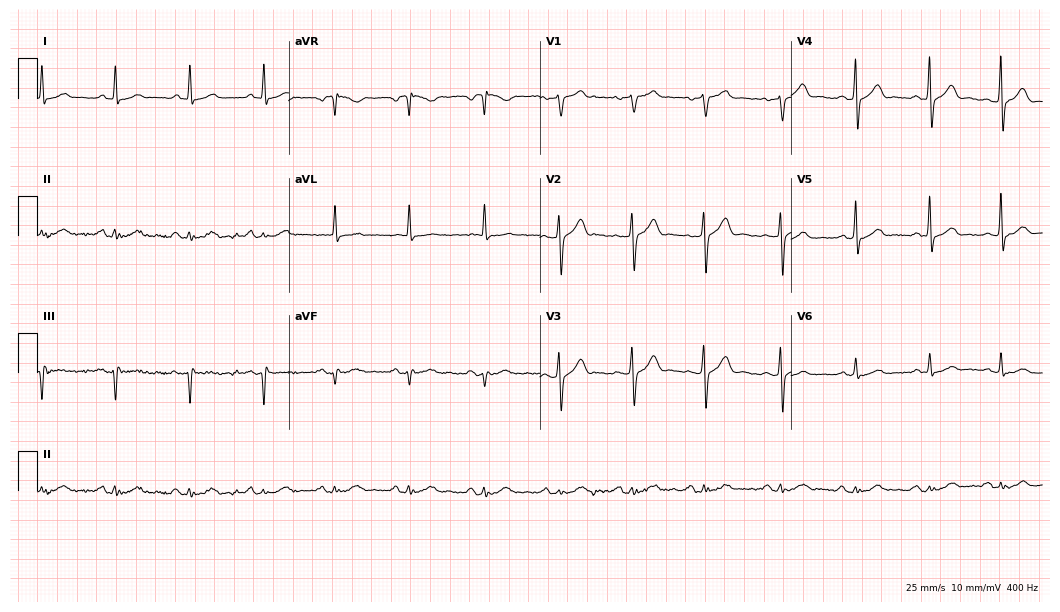
12-lead ECG from a man, 67 years old. Recorded interpretation: within normal limits.